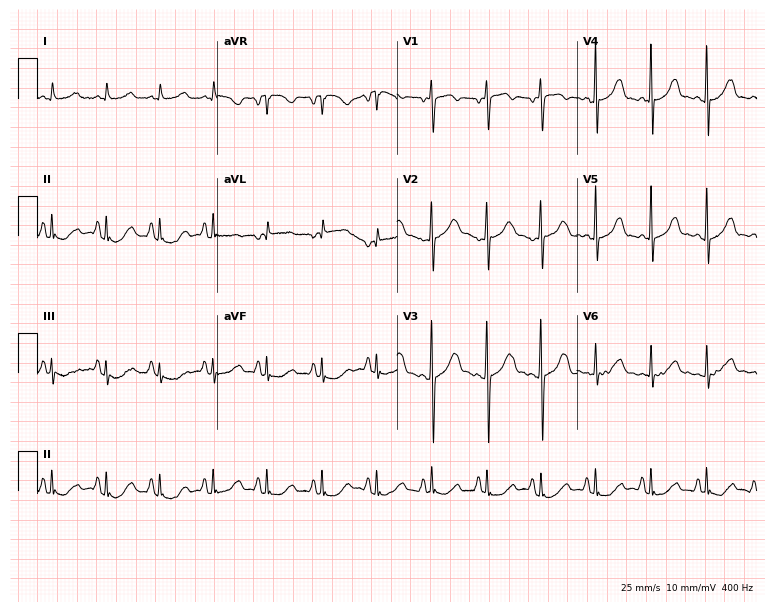
12-lead ECG from a 38-year-old female (7.3-second recording at 400 Hz). Shows sinus tachycardia (a sinus rate of 100 beats per minute or more).